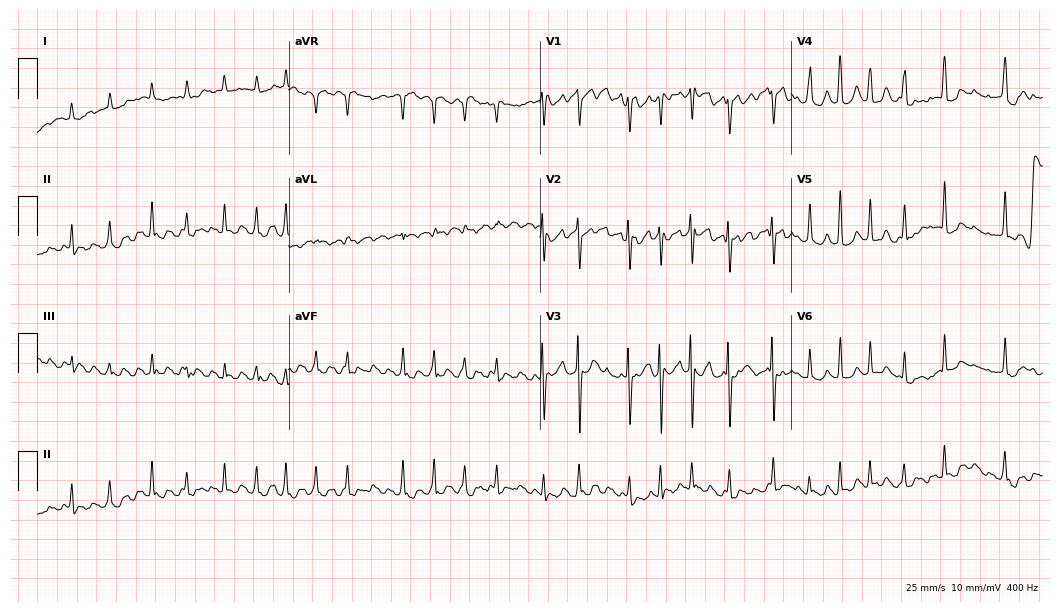
ECG — a 49-year-old female. Findings include atrial fibrillation.